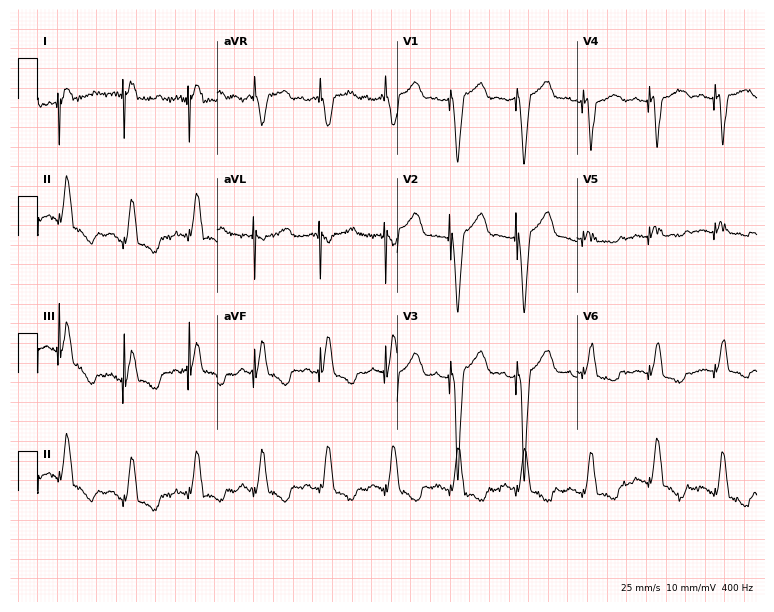
Electrocardiogram, a female, 79 years old. Of the six screened findings (first-degree AV block, right bundle branch block, left bundle branch block, sinus bradycardia, atrial fibrillation, sinus tachycardia), none is recorded. Other findings, if any, are not listed.